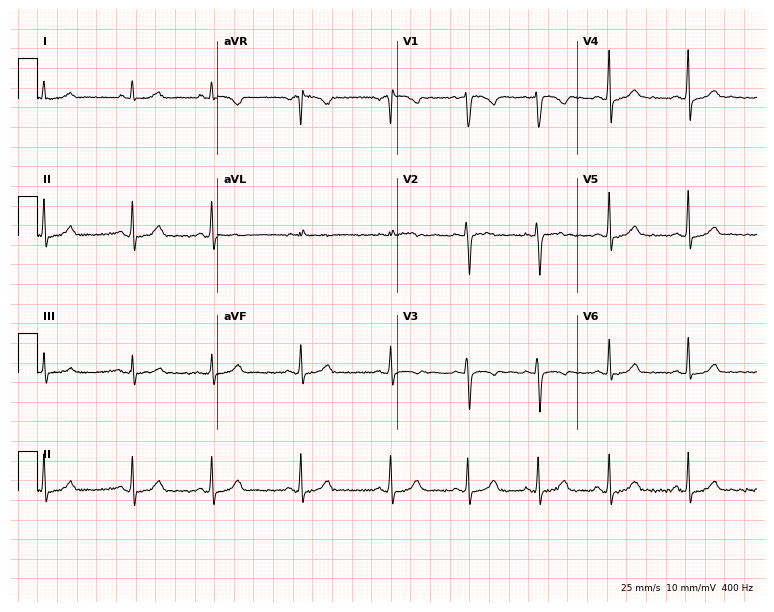
12-lead ECG from a female patient, 20 years old (7.3-second recording at 400 Hz). Recorded interpretation: within normal limits.